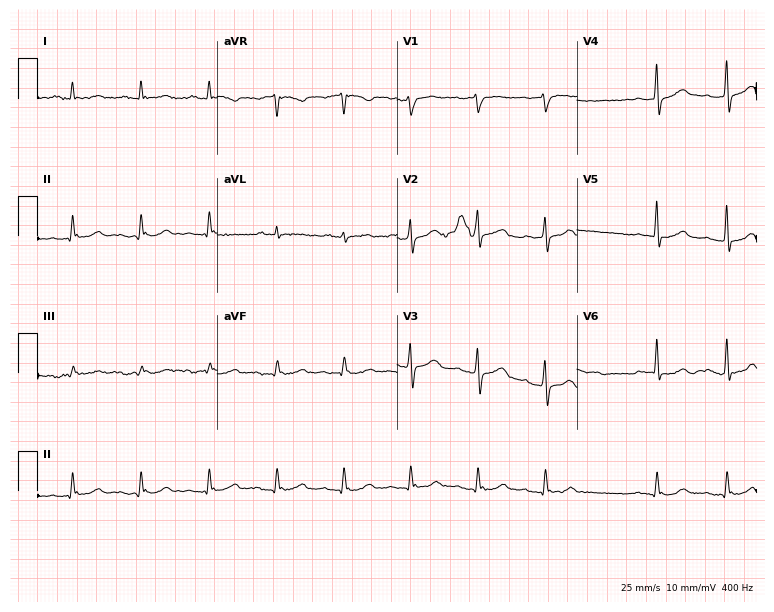
Standard 12-lead ECG recorded from a male patient, 57 years old. The tracing shows first-degree AV block.